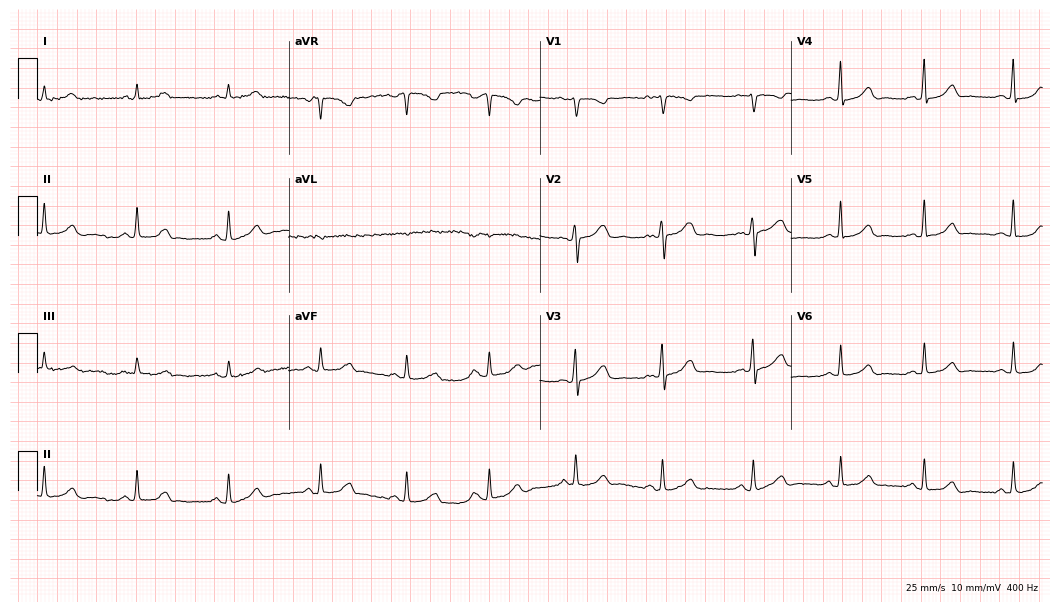
12-lead ECG from a 29-year-old female (10.2-second recording at 400 Hz). Recorded interpretation: within normal limits.